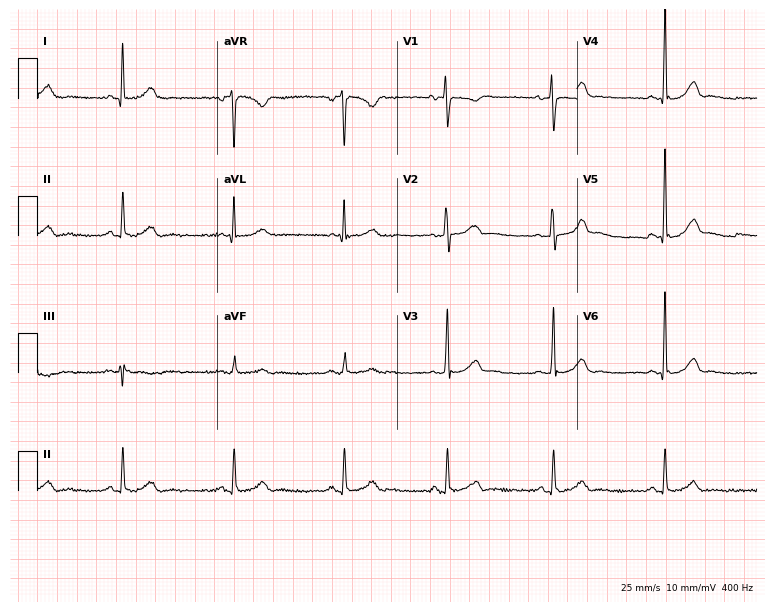
Resting 12-lead electrocardiogram. Patient: a 34-year-old female. Read as a normal ECG.